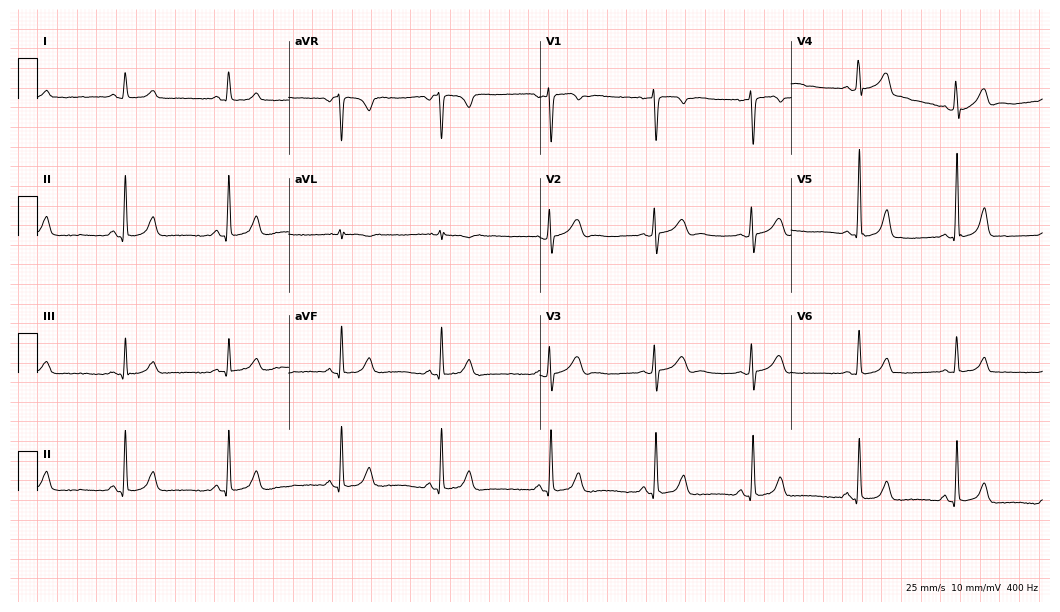
ECG — a female patient, 26 years old. Screened for six findings — first-degree AV block, right bundle branch block, left bundle branch block, sinus bradycardia, atrial fibrillation, sinus tachycardia — none is recorded.